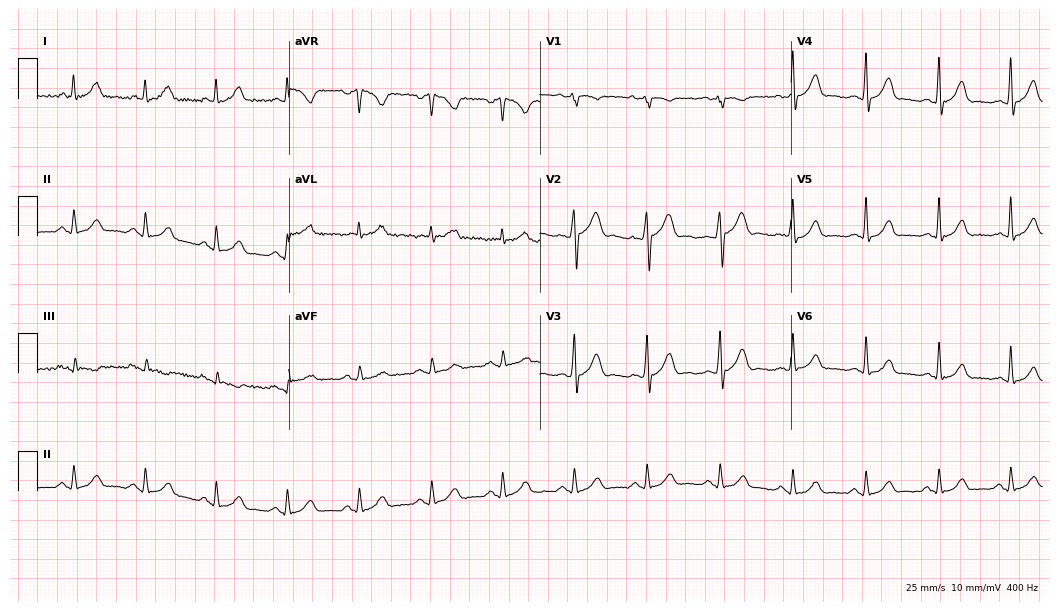
Electrocardiogram (10.2-second recording at 400 Hz), a 52-year-old male patient. Of the six screened findings (first-degree AV block, right bundle branch block, left bundle branch block, sinus bradycardia, atrial fibrillation, sinus tachycardia), none is recorded. Findings outside these six are not listed.